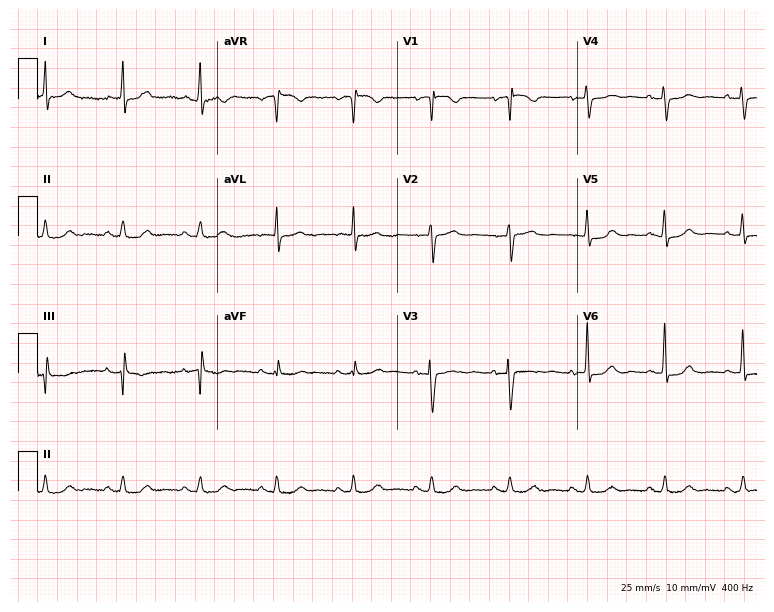
ECG (7.3-second recording at 400 Hz) — an 88-year-old female. Screened for six findings — first-degree AV block, right bundle branch block, left bundle branch block, sinus bradycardia, atrial fibrillation, sinus tachycardia — none is recorded. Only these six findings were labelled.